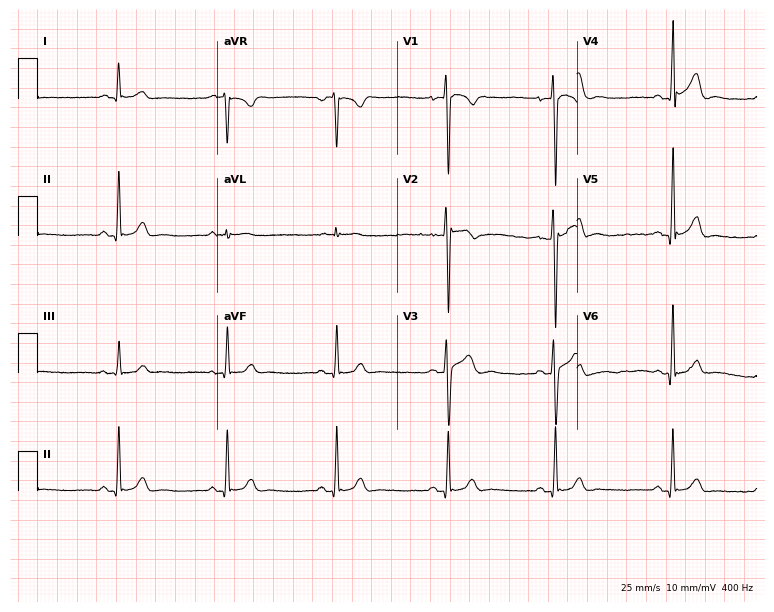
Electrocardiogram, a 20-year-old male. Of the six screened findings (first-degree AV block, right bundle branch block (RBBB), left bundle branch block (LBBB), sinus bradycardia, atrial fibrillation (AF), sinus tachycardia), none is recorded. Findings outside these six are not listed.